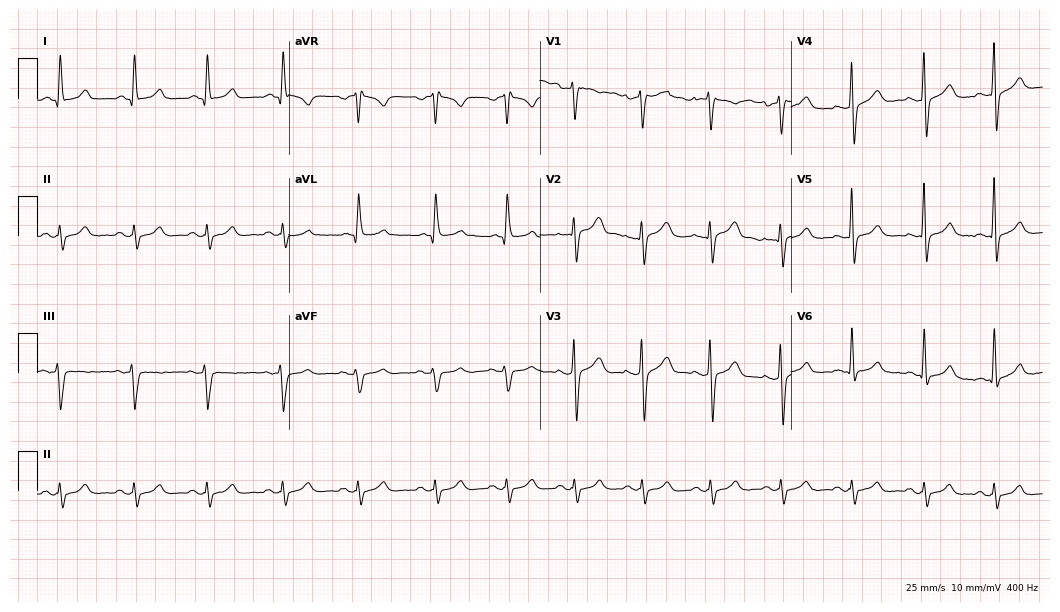
Electrocardiogram, a 40-year-old male patient. Of the six screened findings (first-degree AV block, right bundle branch block, left bundle branch block, sinus bradycardia, atrial fibrillation, sinus tachycardia), none is recorded. Only these six findings were labelled.